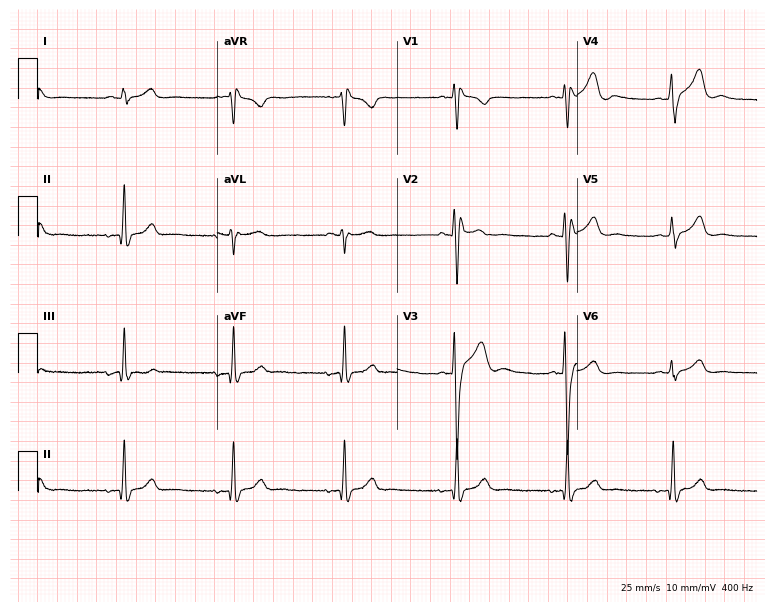
Electrocardiogram (7.3-second recording at 400 Hz), a 29-year-old male patient. Of the six screened findings (first-degree AV block, right bundle branch block (RBBB), left bundle branch block (LBBB), sinus bradycardia, atrial fibrillation (AF), sinus tachycardia), none is recorded.